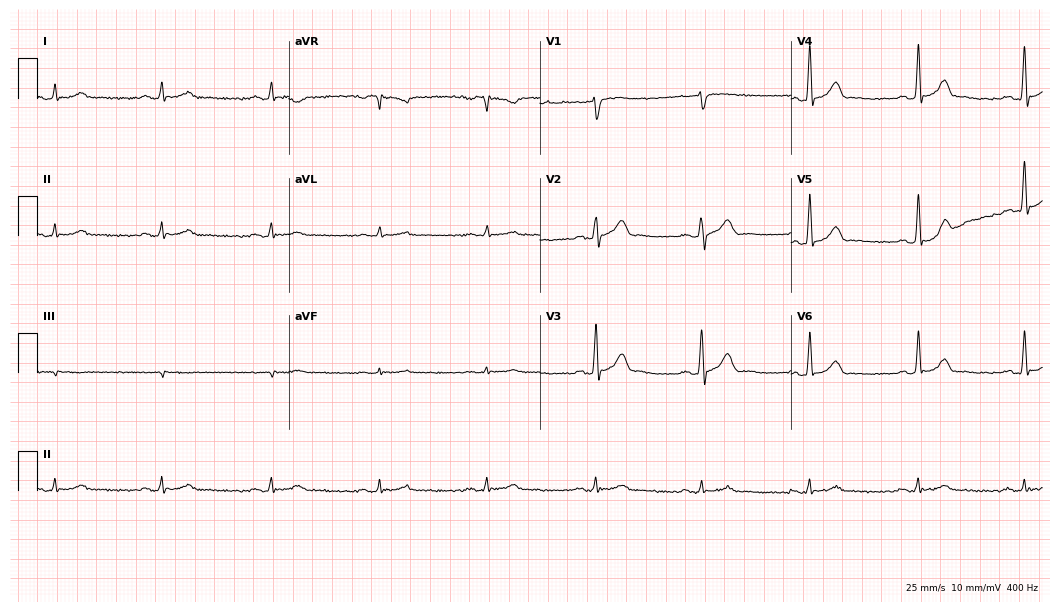
Electrocardiogram, a man, 61 years old. Overall reading on record: normal ECG.